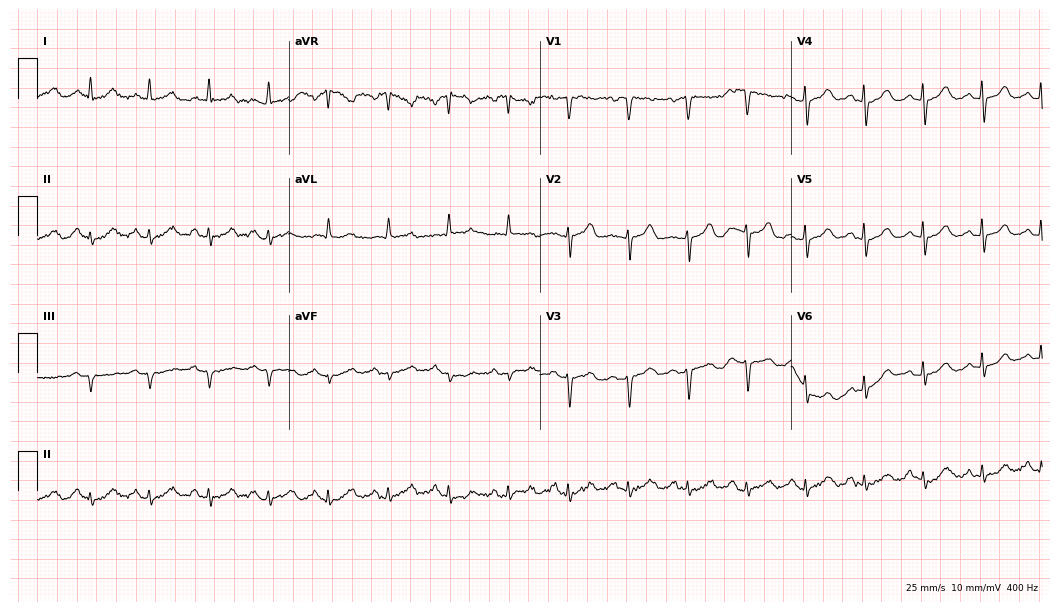
12-lead ECG from a female patient, 69 years old (10.2-second recording at 400 Hz). No first-degree AV block, right bundle branch block (RBBB), left bundle branch block (LBBB), sinus bradycardia, atrial fibrillation (AF) or sinus tachycardia recorded for this tracing. Other findings, if any, are not listed.